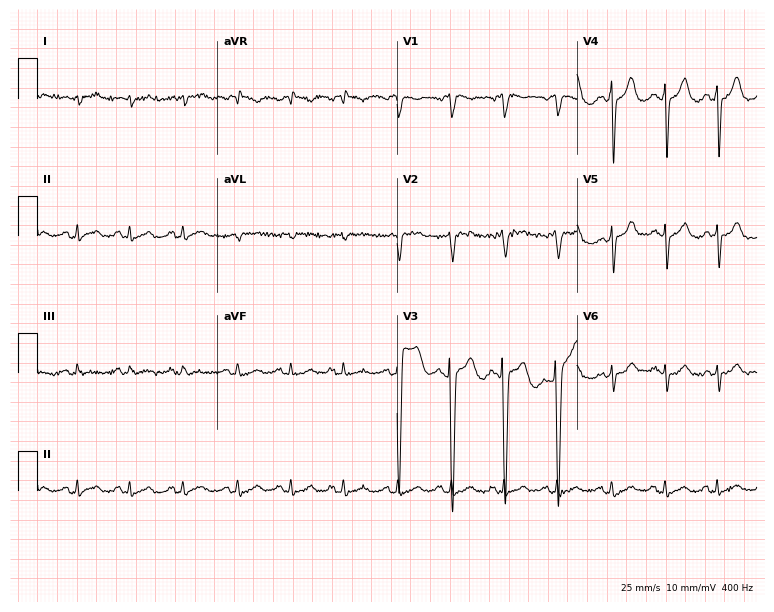
ECG (7.3-second recording at 400 Hz) — an 80-year-old man. Findings include sinus tachycardia (a sinus rate of 100 beats per minute or more).